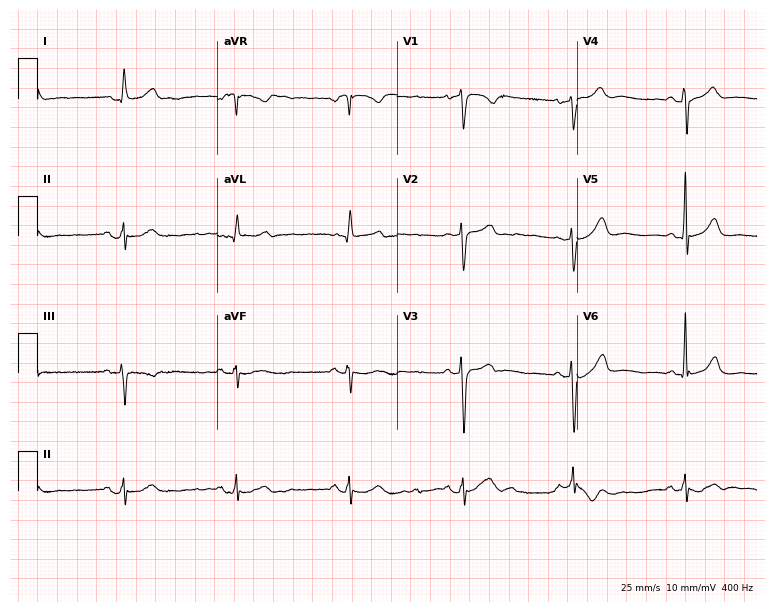
Resting 12-lead electrocardiogram. Patient: a 74-year-old woman. Read as a normal ECG.